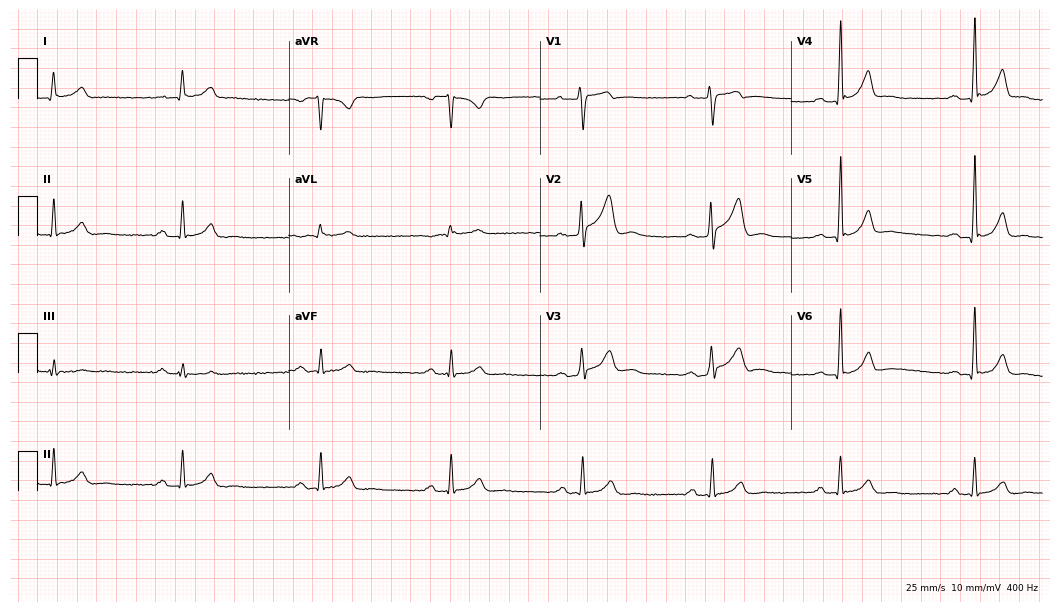
Electrocardiogram, a 40-year-old male. Interpretation includes first-degree AV block, sinus bradycardia (a sinus rate of 50 beats per minute or less).